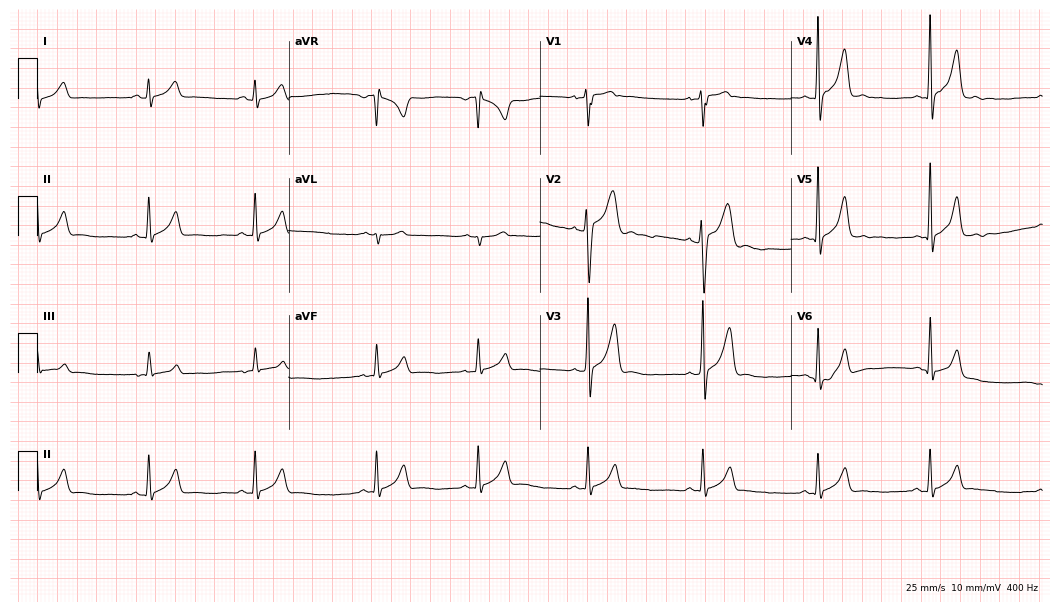
Standard 12-lead ECG recorded from a man, 17 years old. Read as a normal ECG.